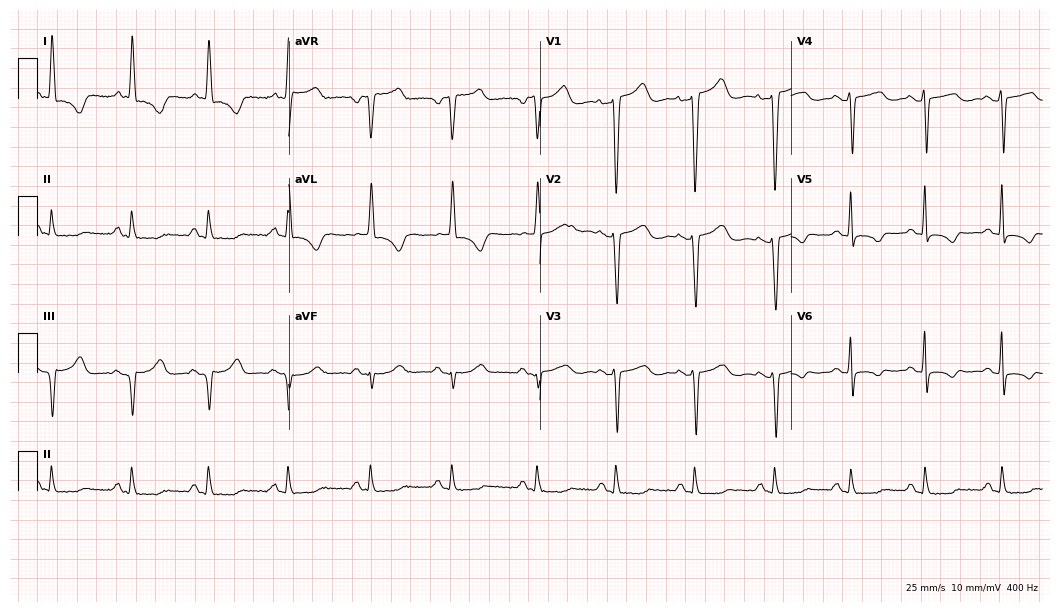
12-lead ECG from a woman, 59 years old. No first-degree AV block, right bundle branch block (RBBB), left bundle branch block (LBBB), sinus bradycardia, atrial fibrillation (AF) or sinus tachycardia recorded for this tracing.